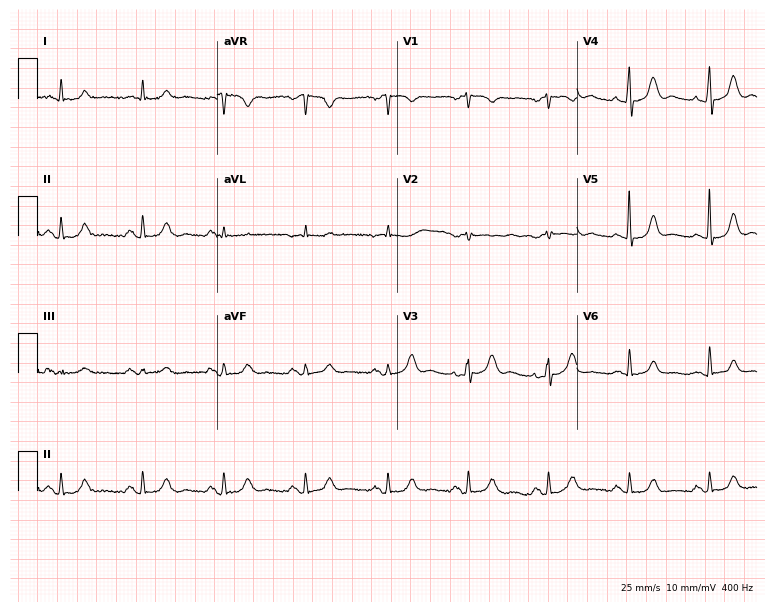
Standard 12-lead ECG recorded from a 66-year-old female patient (7.3-second recording at 400 Hz). None of these six findings is recorded: first-degree AV block, right bundle branch block, left bundle branch block, sinus bradycardia, atrial fibrillation, sinus tachycardia.